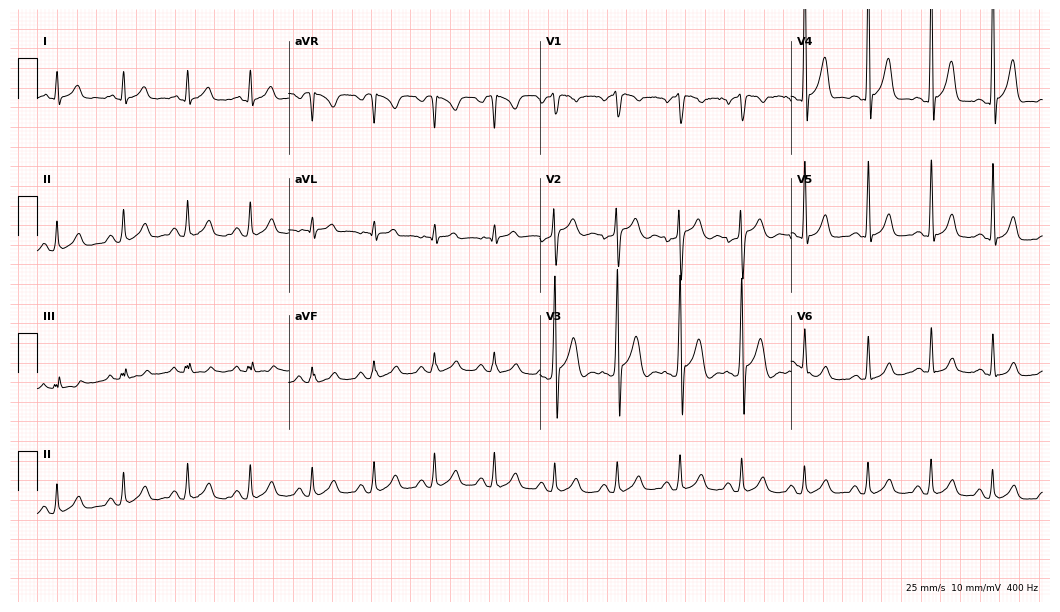
ECG (10.2-second recording at 400 Hz) — a 20-year-old male. Screened for six findings — first-degree AV block, right bundle branch block (RBBB), left bundle branch block (LBBB), sinus bradycardia, atrial fibrillation (AF), sinus tachycardia — none is recorded.